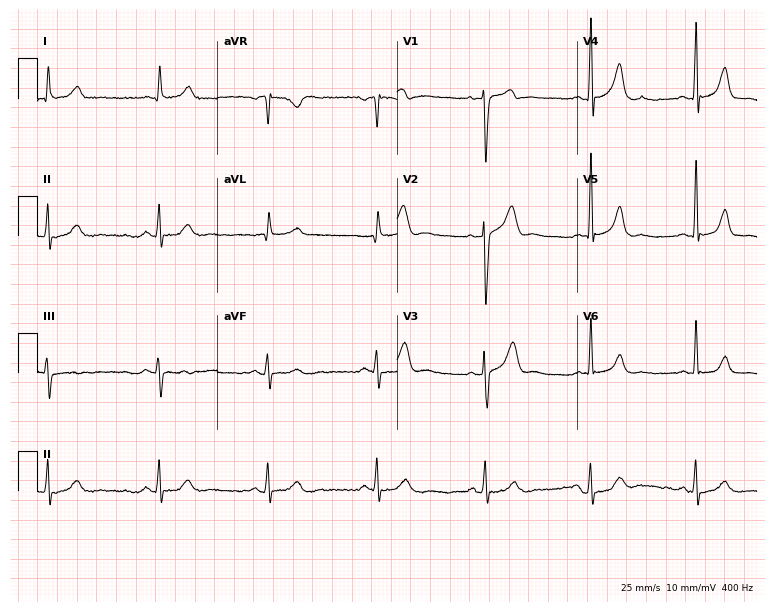
ECG — a 67-year-old male patient. Screened for six findings — first-degree AV block, right bundle branch block, left bundle branch block, sinus bradycardia, atrial fibrillation, sinus tachycardia — none is recorded. Only these six findings were labelled.